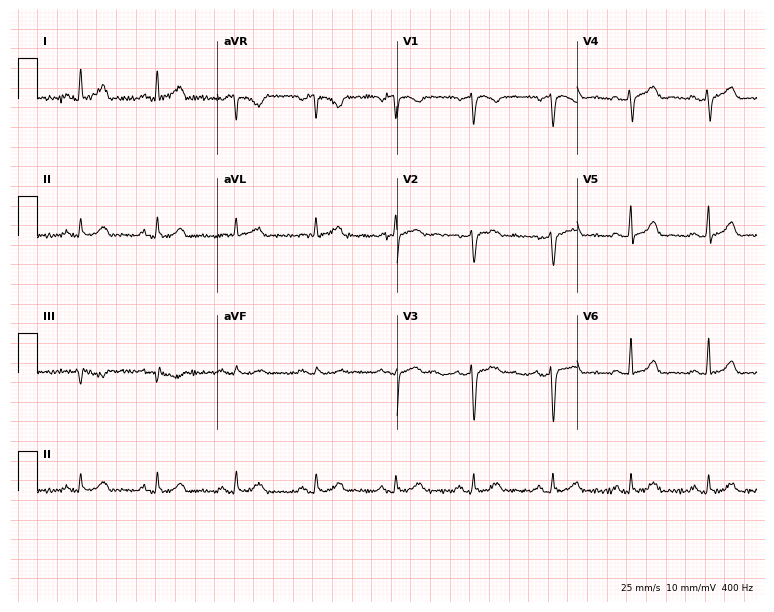
Resting 12-lead electrocardiogram (7.3-second recording at 400 Hz). Patient: a female, 49 years old. Read as a normal ECG.